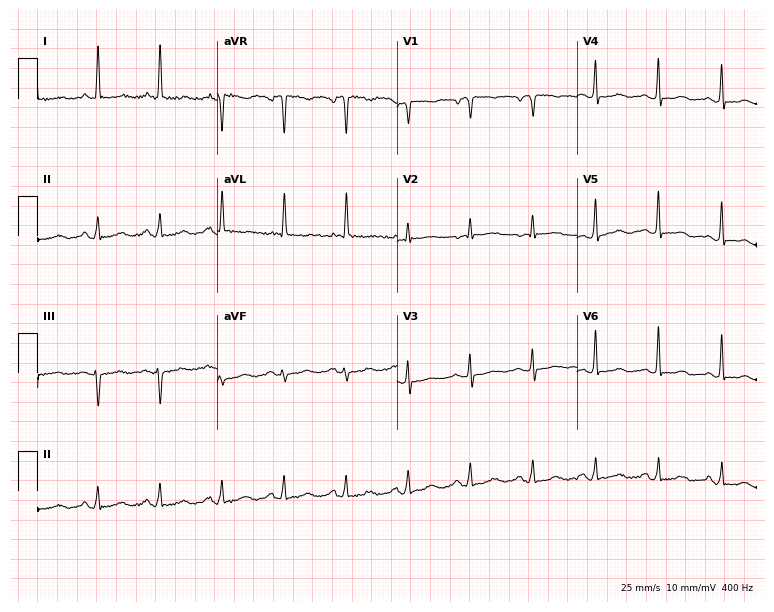
Resting 12-lead electrocardiogram (7.3-second recording at 400 Hz). Patient: a woman, 84 years old. None of these six findings is recorded: first-degree AV block, right bundle branch block (RBBB), left bundle branch block (LBBB), sinus bradycardia, atrial fibrillation (AF), sinus tachycardia. Other findings, if any, are not listed.